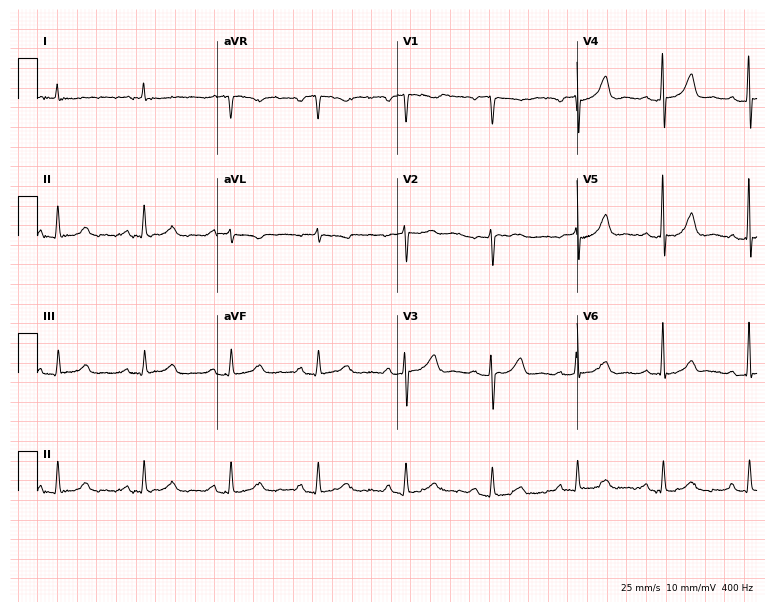
12-lead ECG from a 71-year-old female. Labelled as a normal ECG.